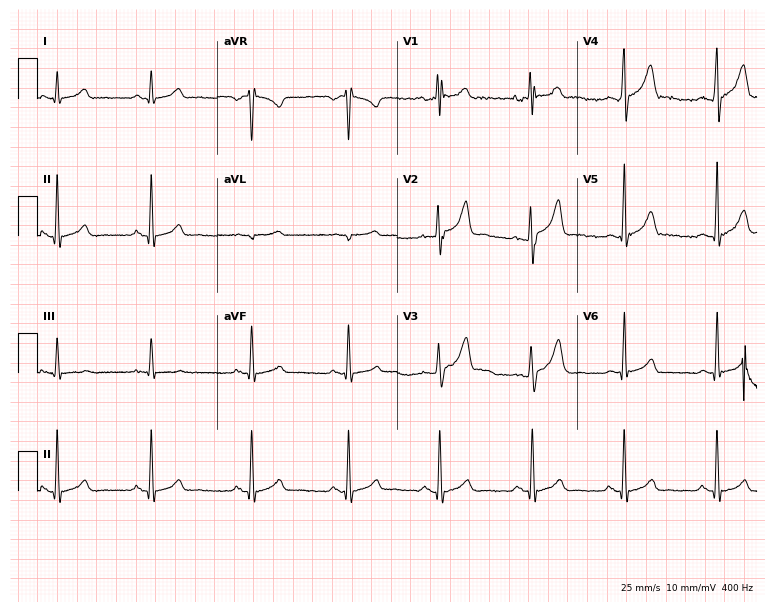
12-lead ECG (7.3-second recording at 400 Hz) from a male patient, 33 years old. Screened for six findings — first-degree AV block, right bundle branch block, left bundle branch block, sinus bradycardia, atrial fibrillation, sinus tachycardia — none is recorded. Only these six findings were labelled.